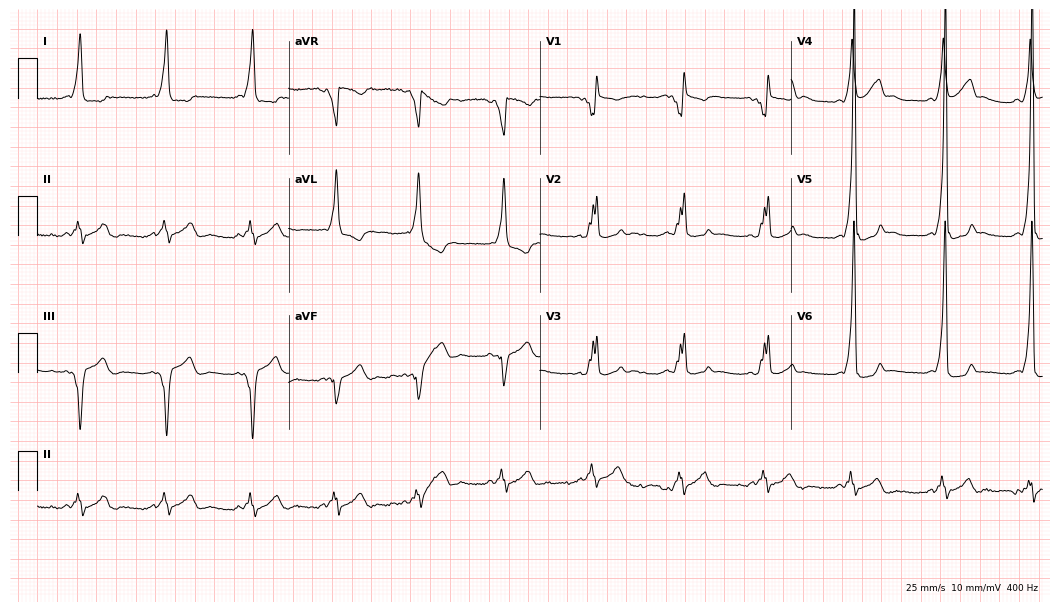
Resting 12-lead electrocardiogram (10.2-second recording at 400 Hz). Patient: a man, 25 years old. None of these six findings is recorded: first-degree AV block, right bundle branch block (RBBB), left bundle branch block (LBBB), sinus bradycardia, atrial fibrillation (AF), sinus tachycardia. Only these six findings were labelled.